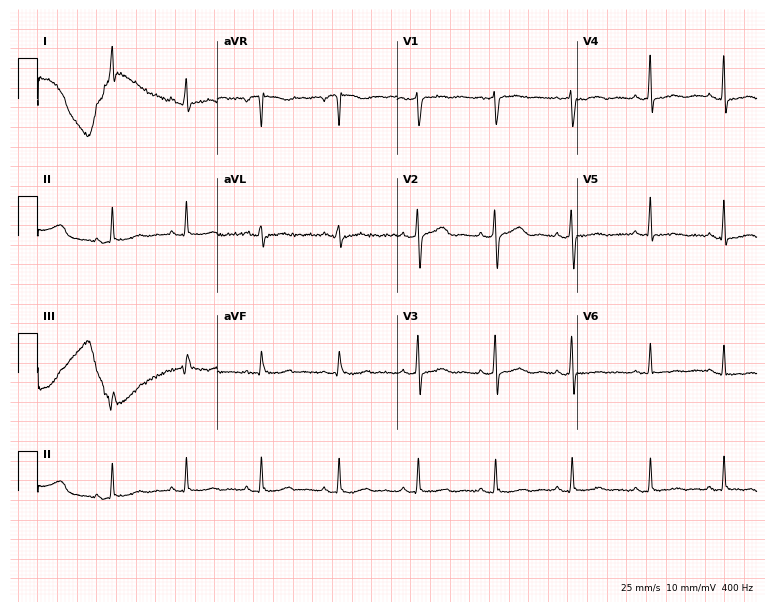
ECG (7.3-second recording at 400 Hz) — a 39-year-old woman. Screened for six findings — first-degree AV block, right bundle branch block (RBBB), left bundle branch block (LBBB), sinus bradycardia, atrial fibrillation (AF), sinus tachycardia — none is recorded. Findings outside these six are not listed.